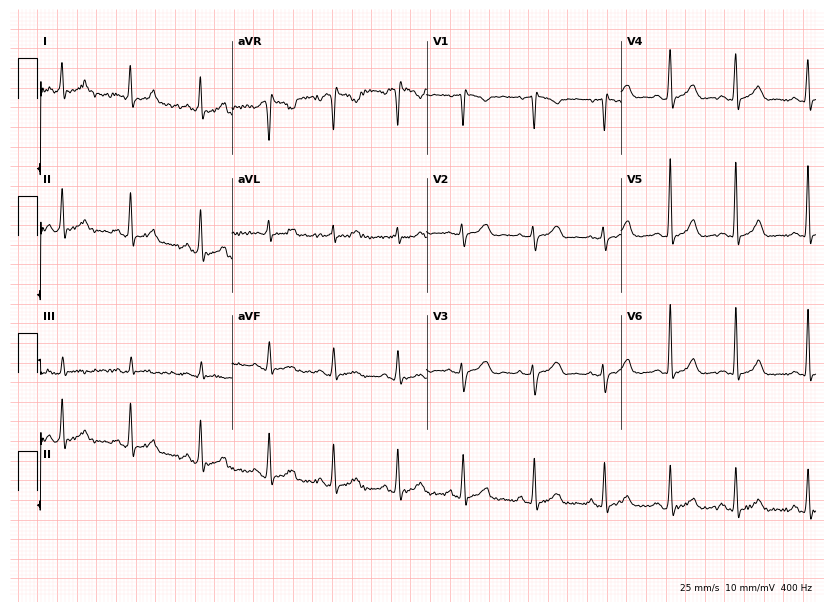
ECG — a female patient, 27 years old. Labelled as a normal ECG.